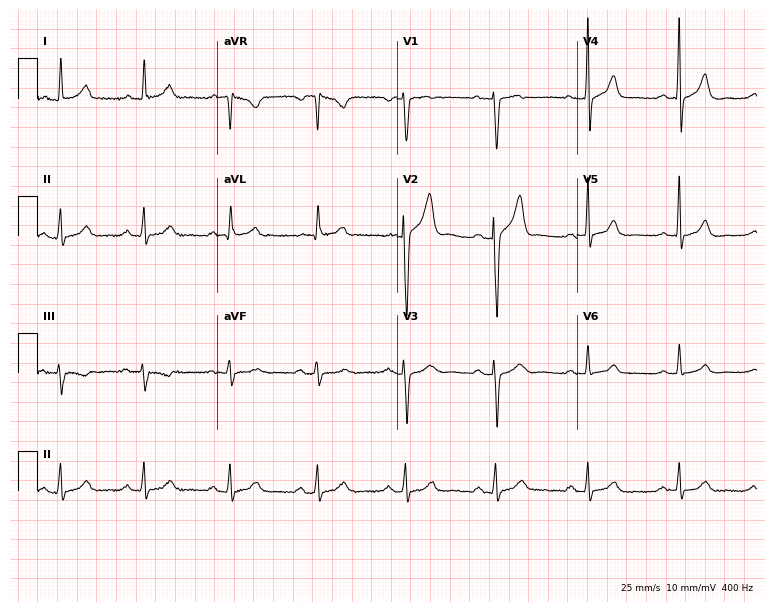
Standard 12-lead ECG recorded from a 62-year-old male. Read as a normal ECG.